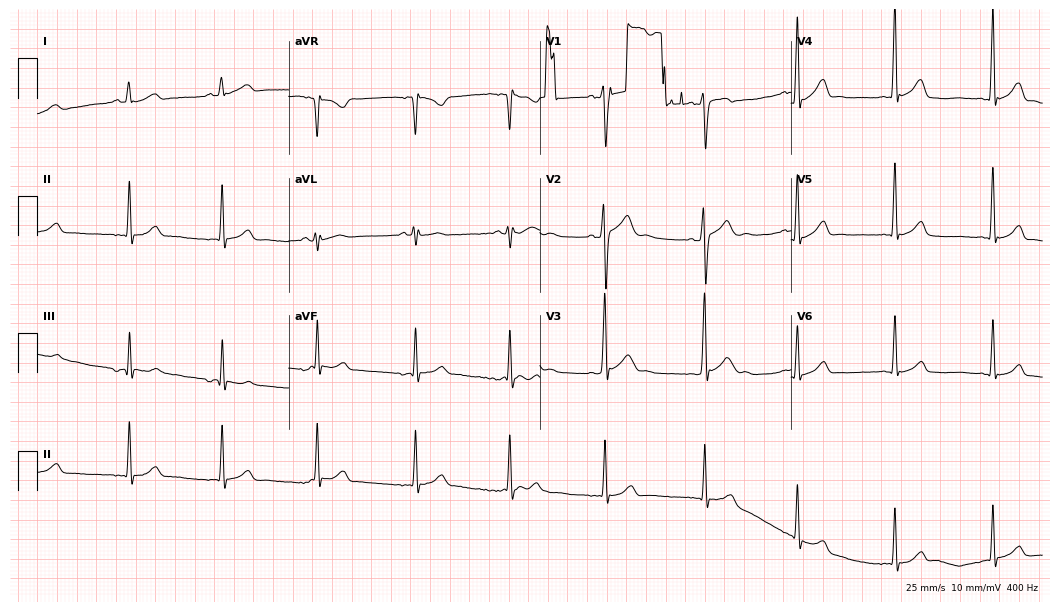
Standard 12-lead ECG recorded from a 22-year-old man. None of these six findings is recorded: first-degree AV block, right bundle branch block, left bundle branch block, sinus bradycardia, atrial fibrillation, sinus tachycardia.